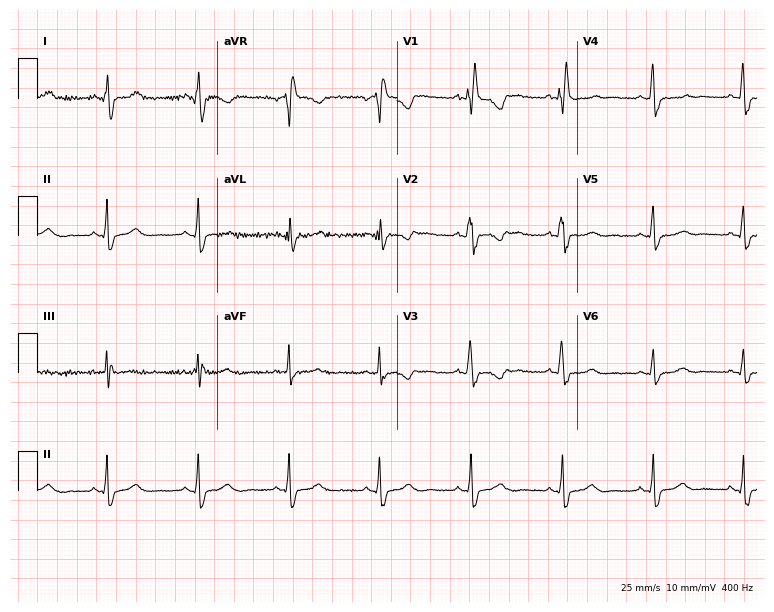
ECG — a 35-year-old female. Findings include right bundle branch block (RBBB).